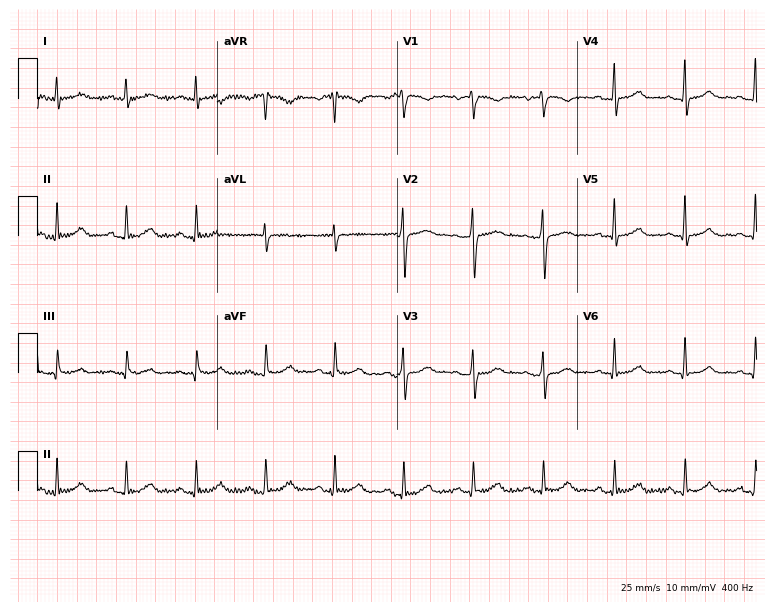
ECG — a 46-year-old female patient. Labelled as a normal ECG.